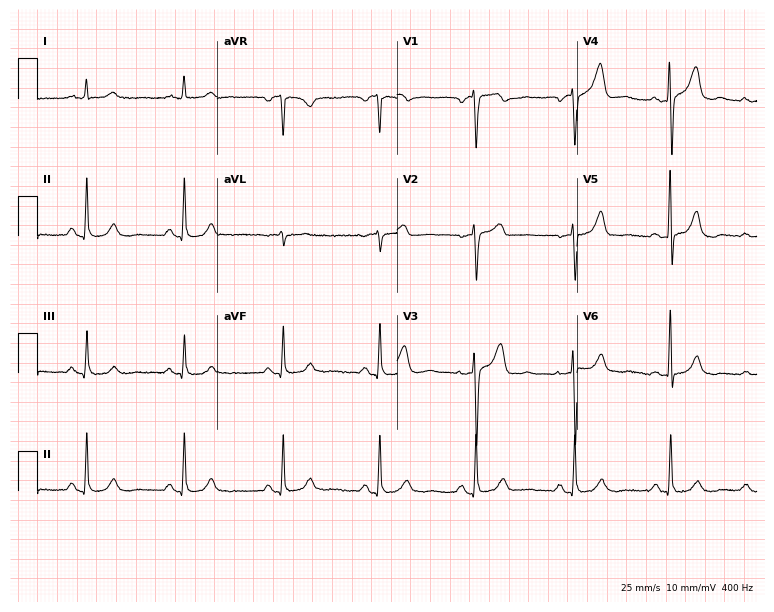
Electrocardiogram (7.3-second recording at 400 Hz), a 79-year-old man. Overall reading on record: normal ECG.